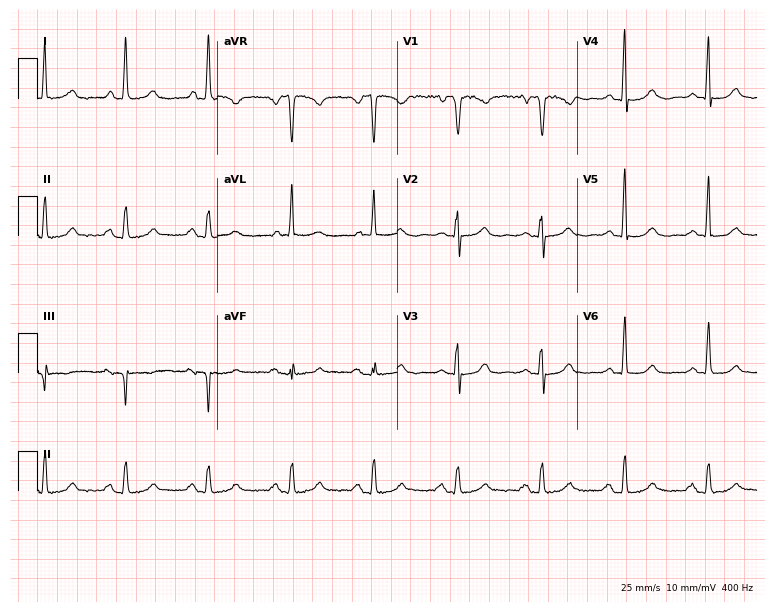
Standard 12-lead ECG recorded from a woman, 75 years old (7.3-second recording at 400 Hz). Read as a normal ECG.